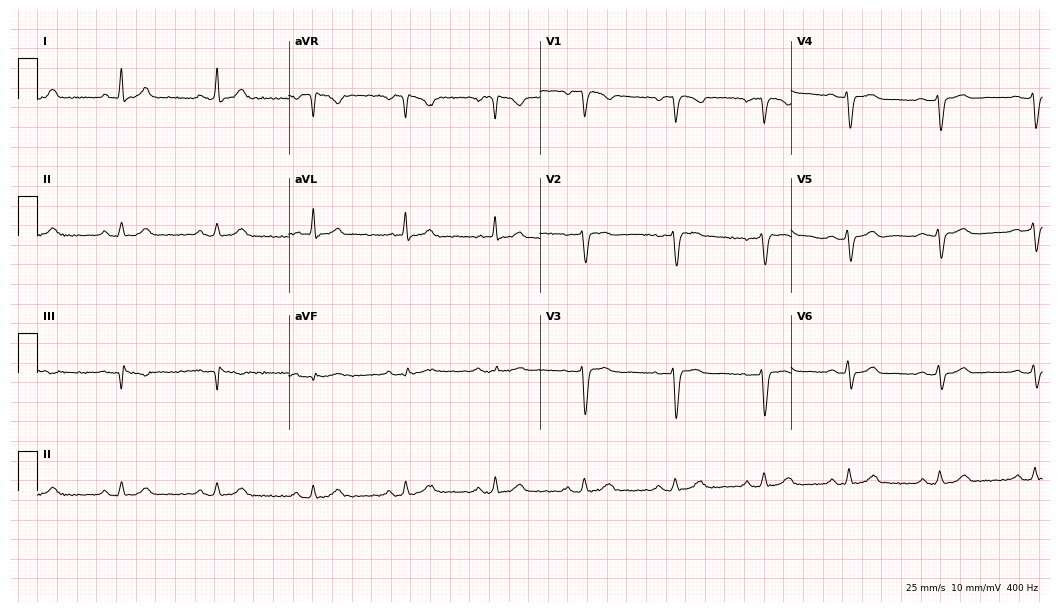
Resting 12-lead electrocardiogram. Patient: a female, 43 years old. None of these six findings is recorded: first-degree AV block, right bundle branch block, left bundle branch block, sinus bradycardia, atrial fibrillation, sinus tachycardia. Other findings, if any, are not listed.